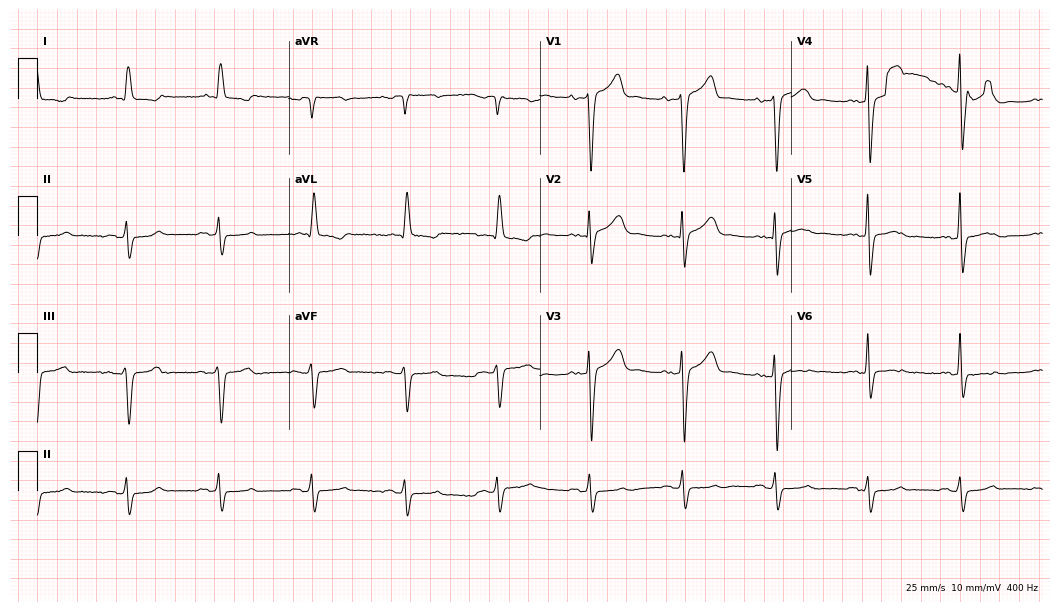
Electrocardiogram, a male patient, 75 years old. Interpretation includes left bundle branch block.